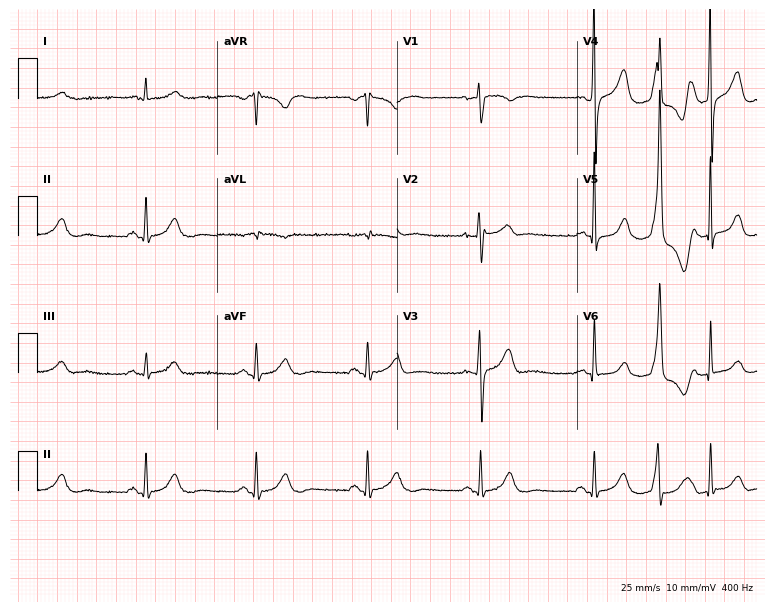
12-lead ECG from a 64-year-old male patient. Screened for six findings — first-degree AV block, right bundle branch block, left bundle branch block, sinus bradycardia, atrial fibrillation, sinus tachycardia — none is recorded.